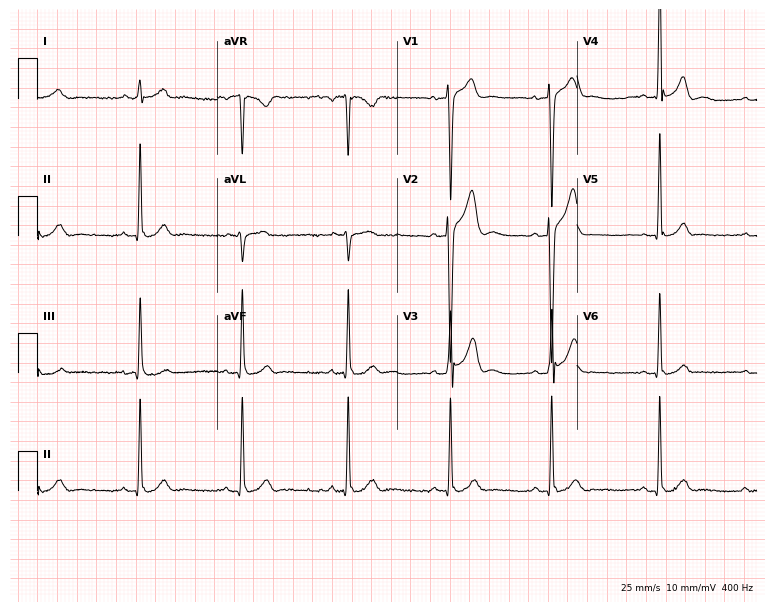
ECG (7.3-second recording at 400 Hz) — a 19-year-old male patient. Labelled as a normal ECG.